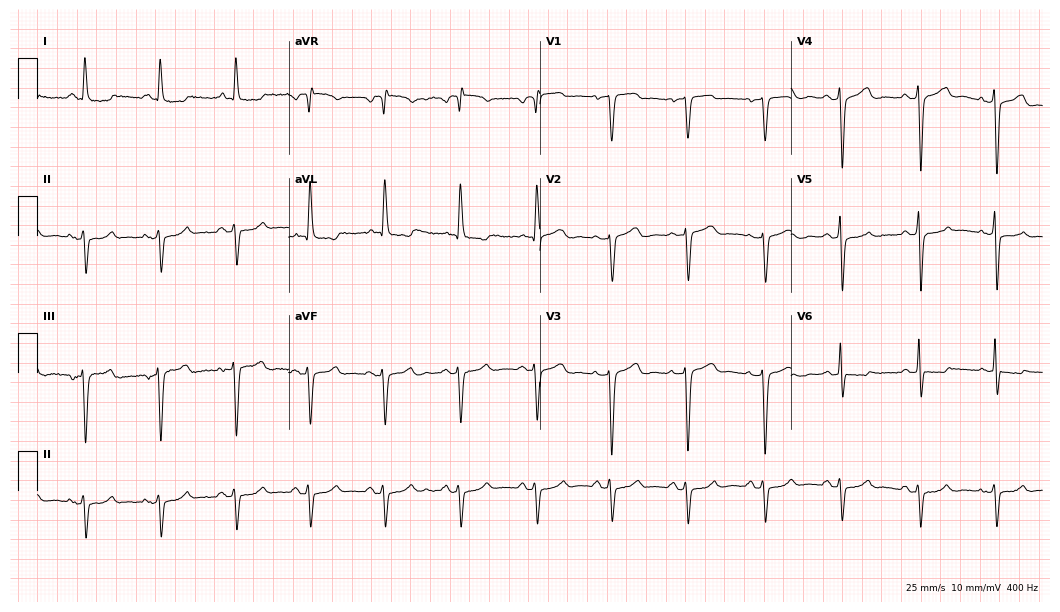
Resting 12-lead electrocardiogram. Patient: a woman, 77 years old. None of these six findings is recorded: first-degree AV block, right bundle branch block, left bundle branch block, sinus bradycardia, atrial fibrillation, sinus tachycardia.